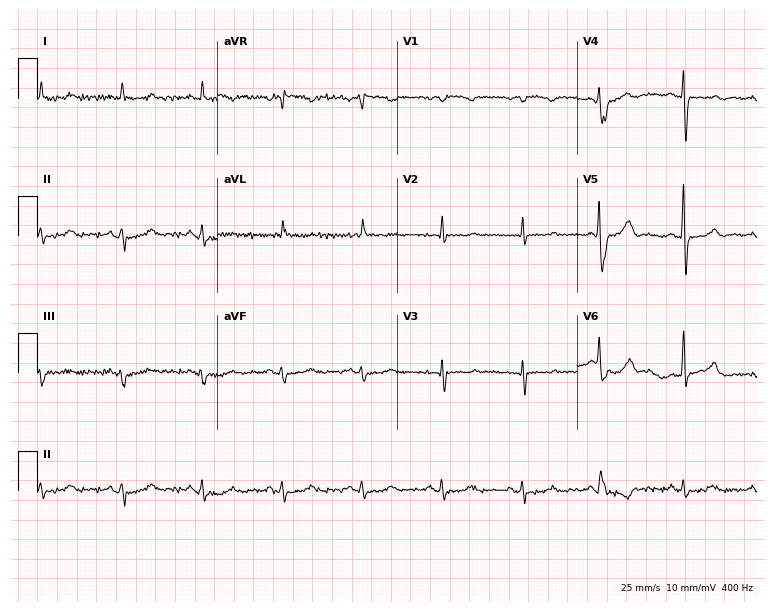
Resting 12-lead electrocardiogram. Patient: an 81-year-old female. Read as a normal ECG.